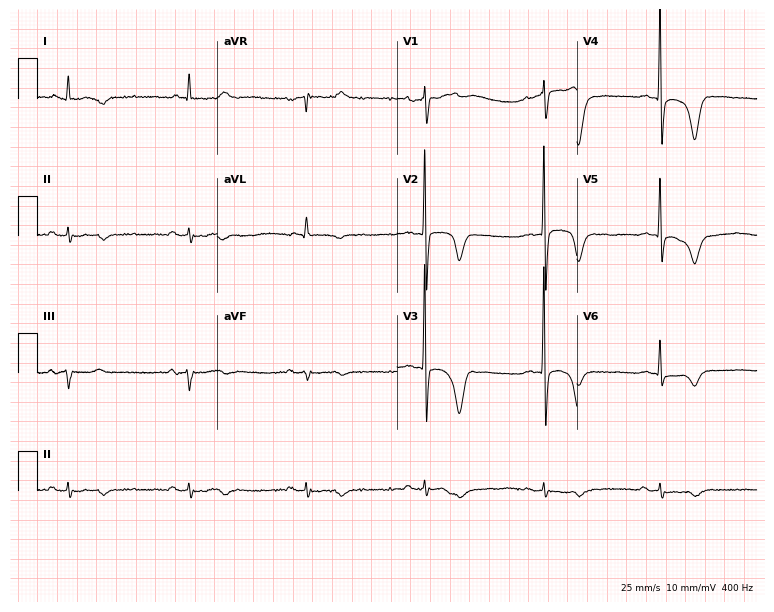
Standard 12-lead ECG recorded from a 73-year-old male. None of these six findings is recorded: first-degree AV block, right bundle branch block, left bundle branch block, sinus bradycardia, atrial fibrillation, sinus tachycardia. Other findings, if any, are not listed.